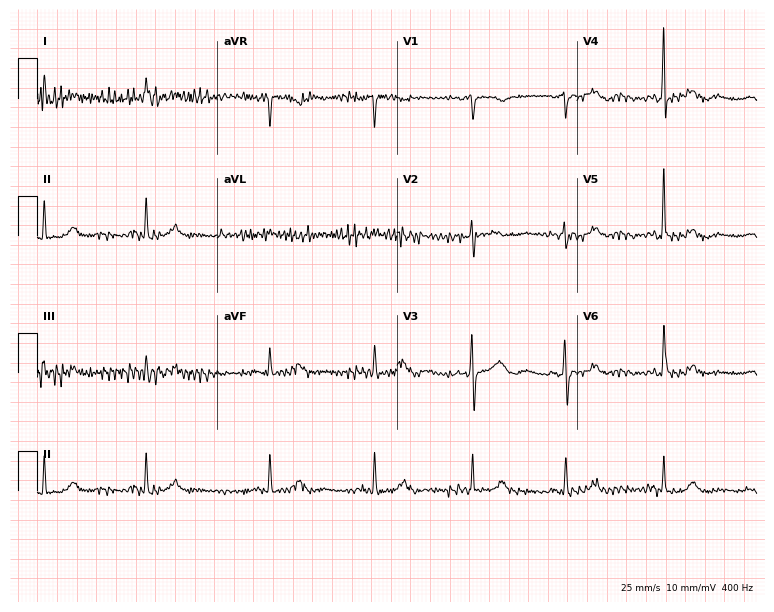
Resting 12-lead electrocardiogram (7.3-second recording at 400 Hz). Patient: a 64-year-old female. None of these six findings is recorded: first-degree AV block, right bundle branch block, left bundle branch block, sinus bradycardia, atrial fibrillation, sinus tachycardia.